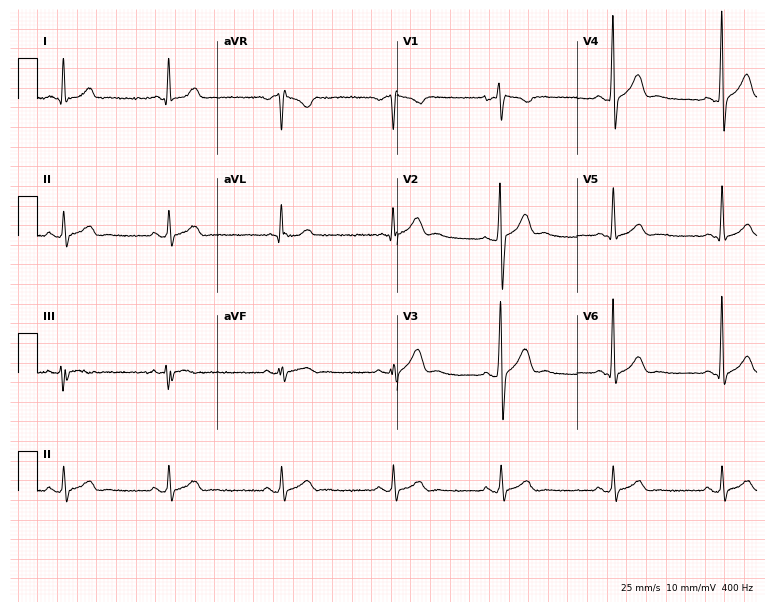
12-lead ECG from a 35-year-old male patient. Labelled as a normal ECG.